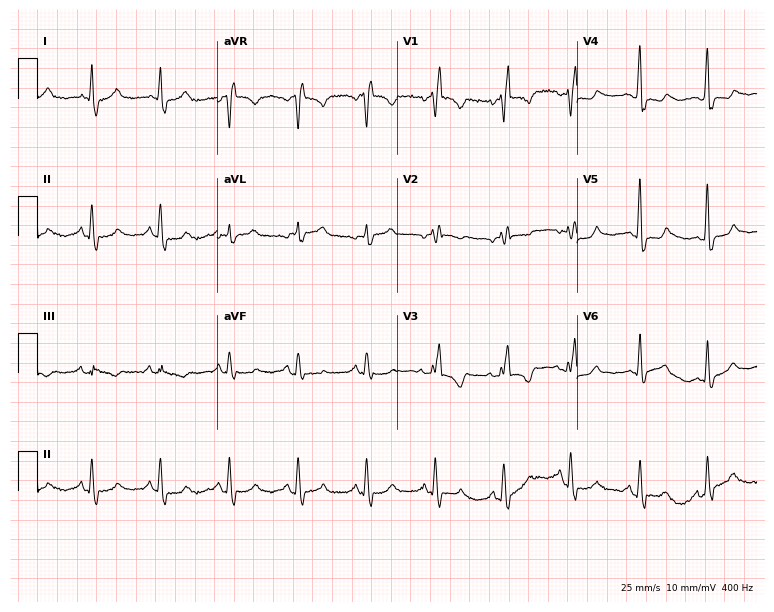
ECG — a 69-year-old female patient. Findings include right bundle branch block (RBBB).